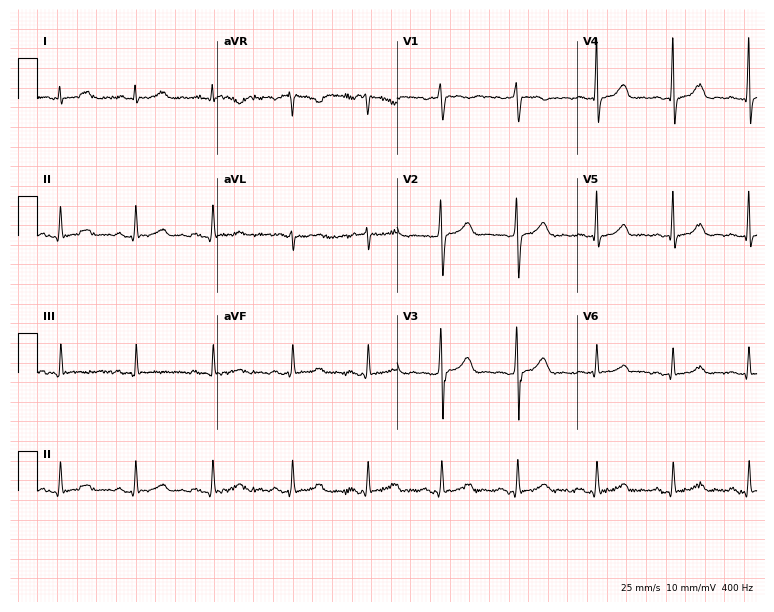
Electrocardiogram, a female, 27 years old. Overall reading on record: normal ECG.